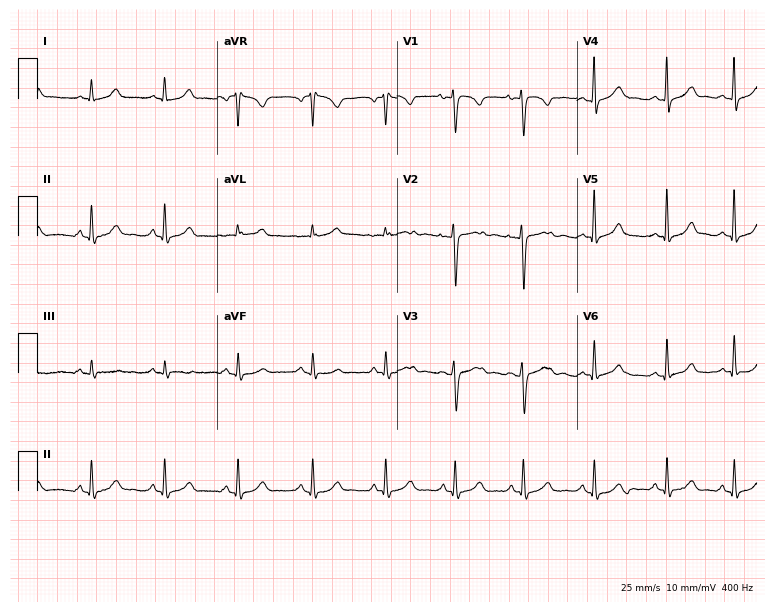
12-lead ECG (7.3-second recording at 400 Hz) from a 29-year-old female patient. Labelled as a normal ECG.